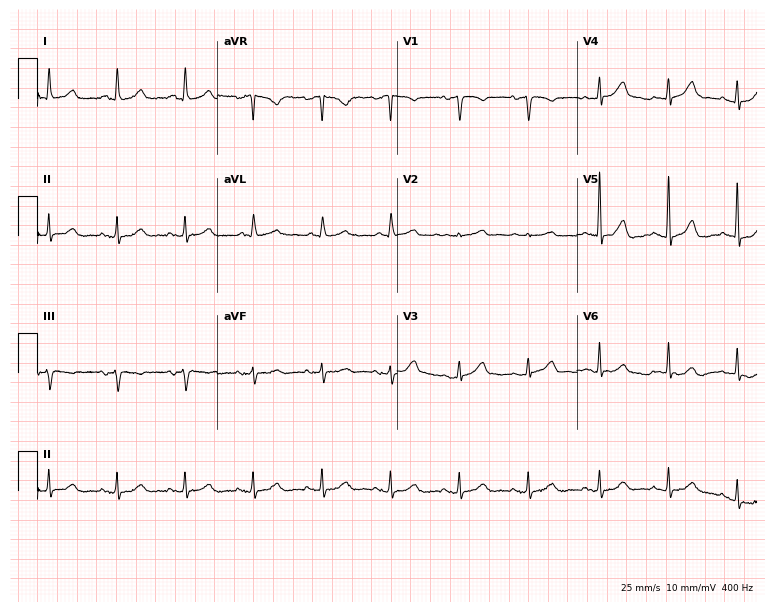
Electrocardiogram, an 80-year-old female. Overall reading on record: normal ECG.